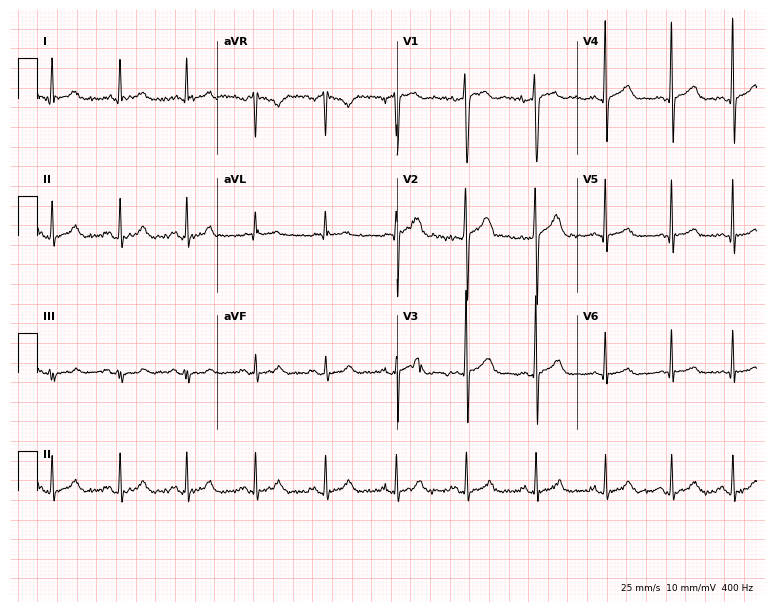
Resting 12-lead electrocardiogram (7.3-second recording at 400 Hz). Patient: a 36-year-old male. Read as a normal ECG.